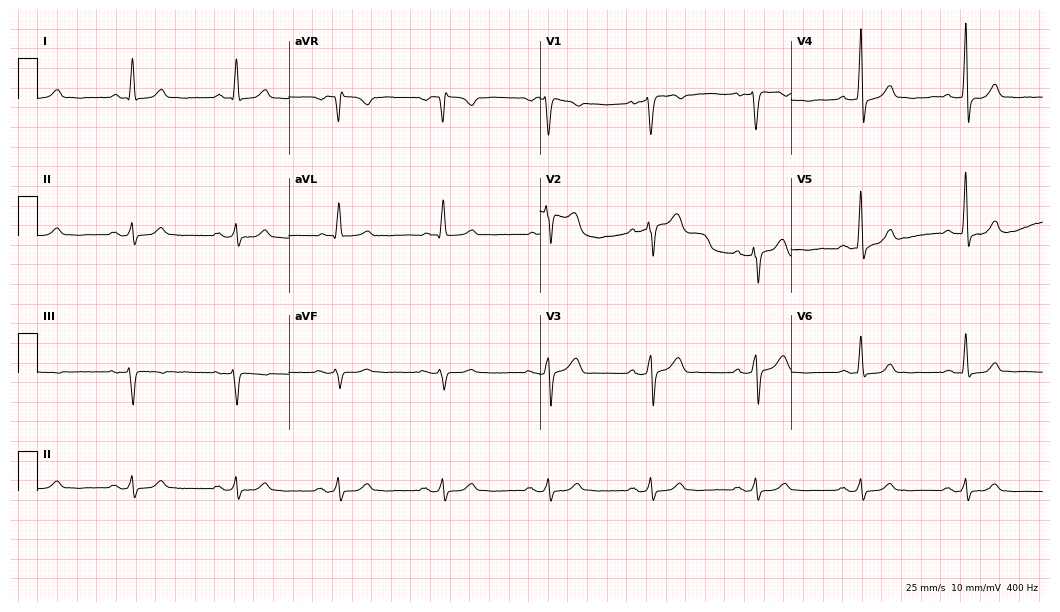
12-lead ECG from a 67-year-old man. Screened for six findings — first-degree AV block, right bundle branch block, left bundle branch block, sinus bradycardia, atrial fibrillation, sinus tachycardia — none is recorded.